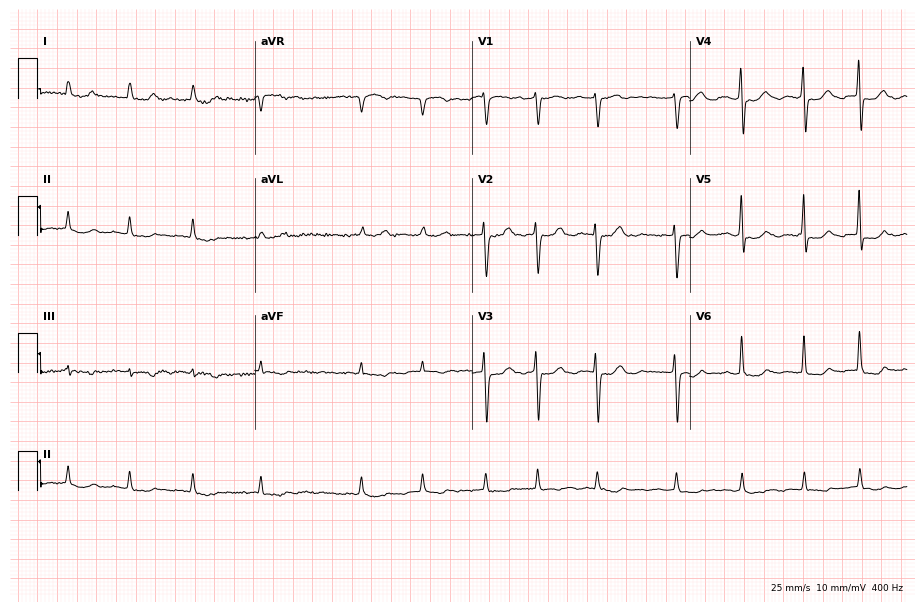
12-lead ECG from a female, 70 years old. Findings include atrial fibrillation.